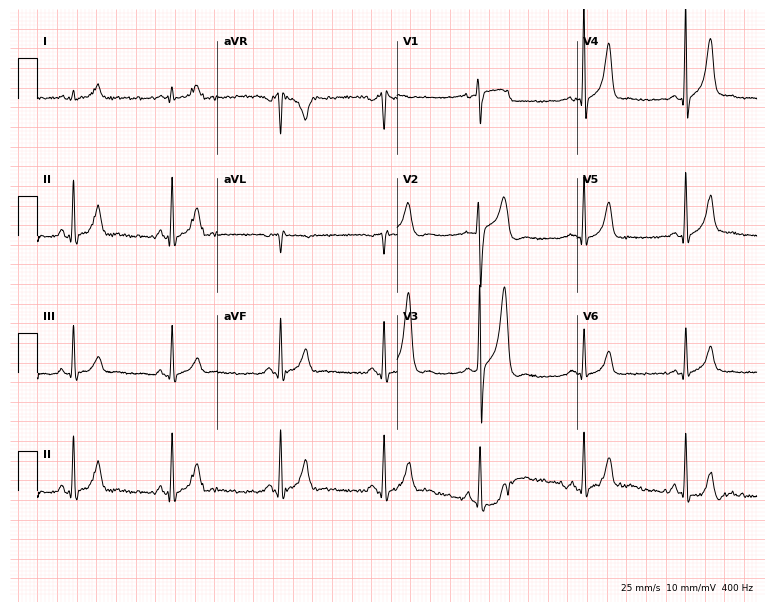
12-lead ECG (7.3-second recording at 400 Hz) from a male, 20 years old. Screened for six findings — first-degree AV block, right bundle branch block, left bundle branch block, sinus bradycardia, atrial fibrillation, sinus tachycardia — none is recorded. Other findings, if any, are not listed.